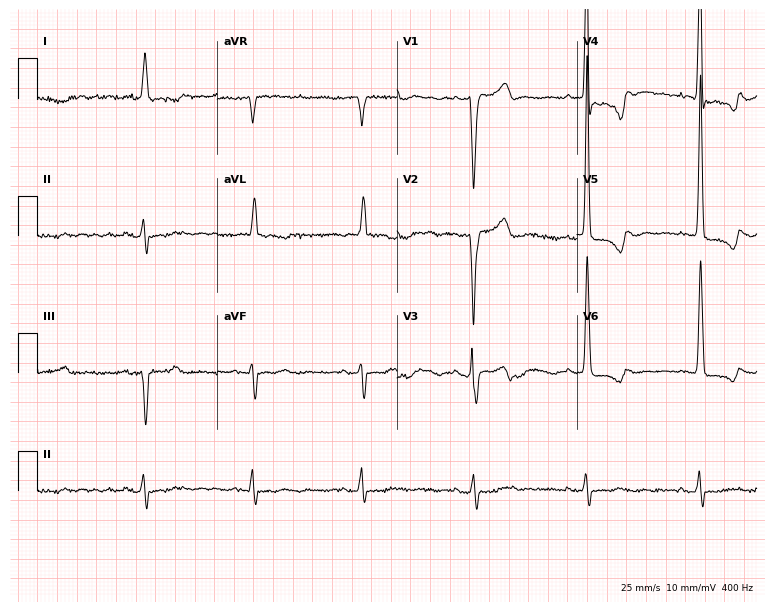
12-lead ECG from an 80-year-old man. Screened for six findings — first-degree AV block, right bundle branch block, left bundle branch block, sinus bradycardia, atrial fibrillation, sinus tachycardia — none is recorded.